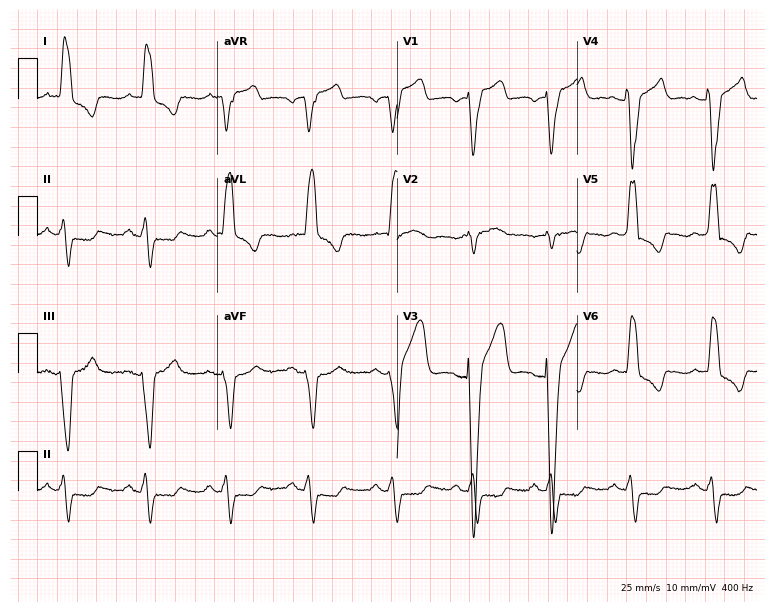
ECG (7.3-second recording at 400 Hz) — a 46-year-old male patient. Findings include left bundle branch block.